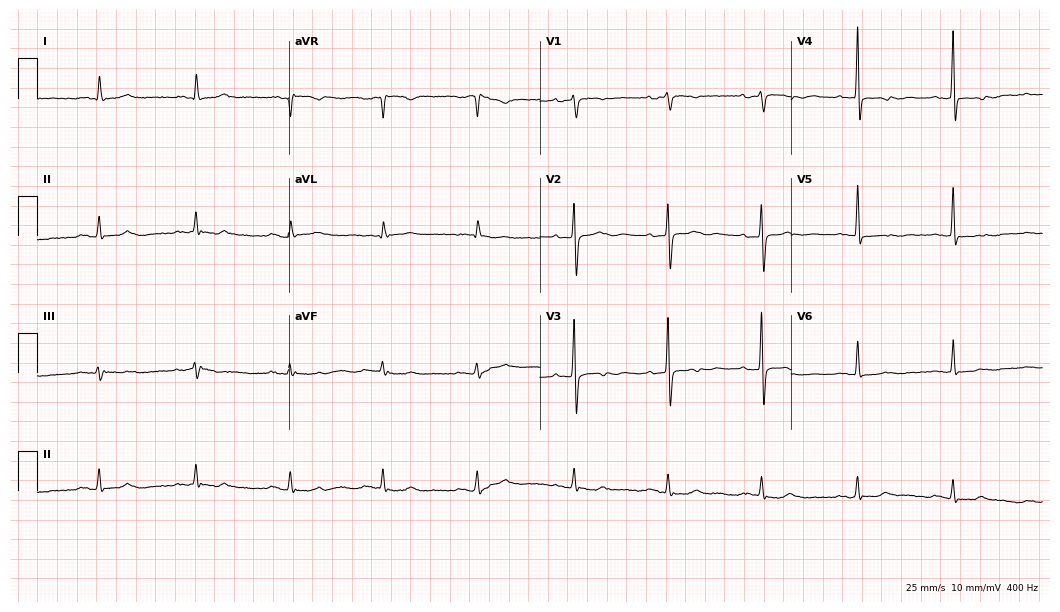
Standard 12-lead ECG recorded from a woman, 84 years old (10.2-second recording at 400 Hz). None of these six findings is recorded: first-degree AV block, right bundle branch block (RBBB), left bundle branch block (LBBB), sinus bradycardia, atrial fibrillation (AF), sinus tachycardia. Only these six findings were labelled.